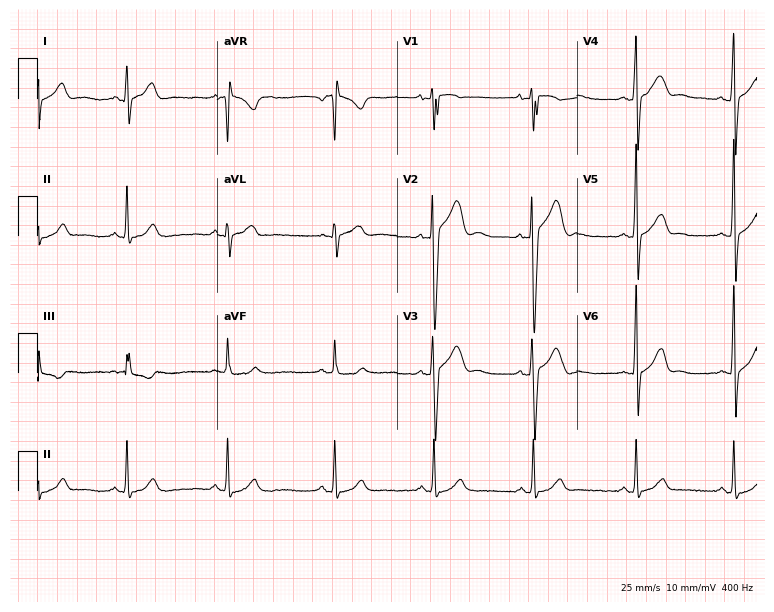
ECG — a male, 21 years old. Labelled as a normal ECG.